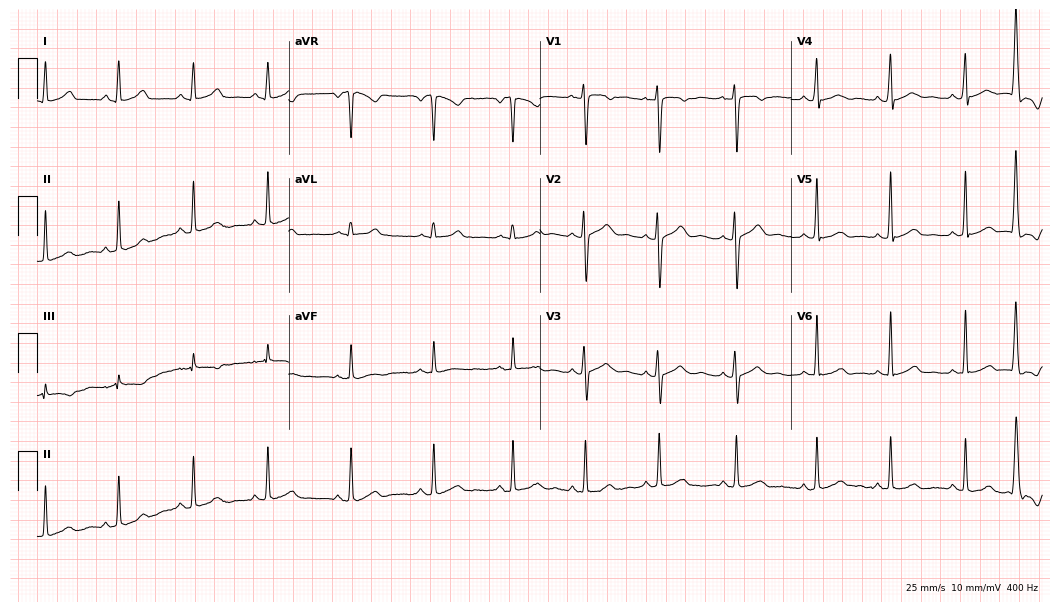
12-lead ECG from a 25-year-old woman. Screened for six findings — first-degree AV block, right bundle branch block (RBBB), left bundle branch block (LBBB), sinus bradycardia, atrial fibrillation (AF), sinus tachycardia — none is recorded. Findings outside these six are not listed.